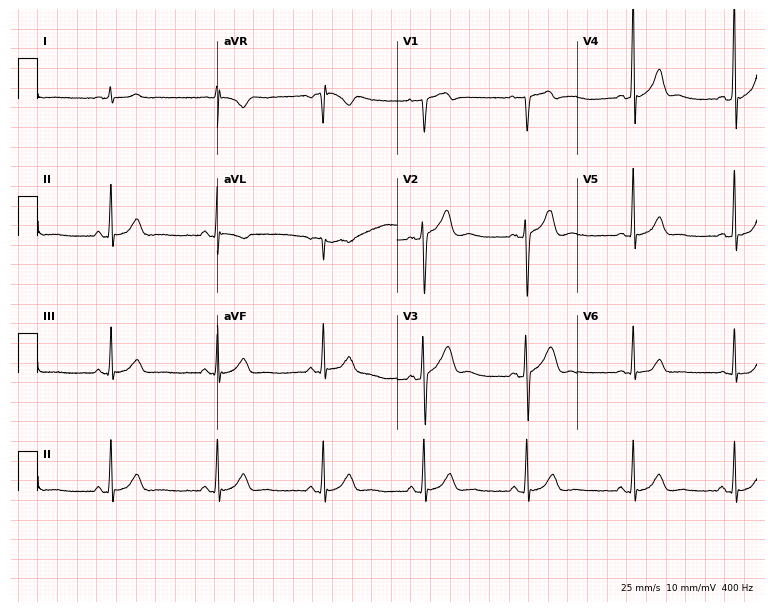
12-lead ECG from a 25-year-old man. Labelled as a normal ECG.